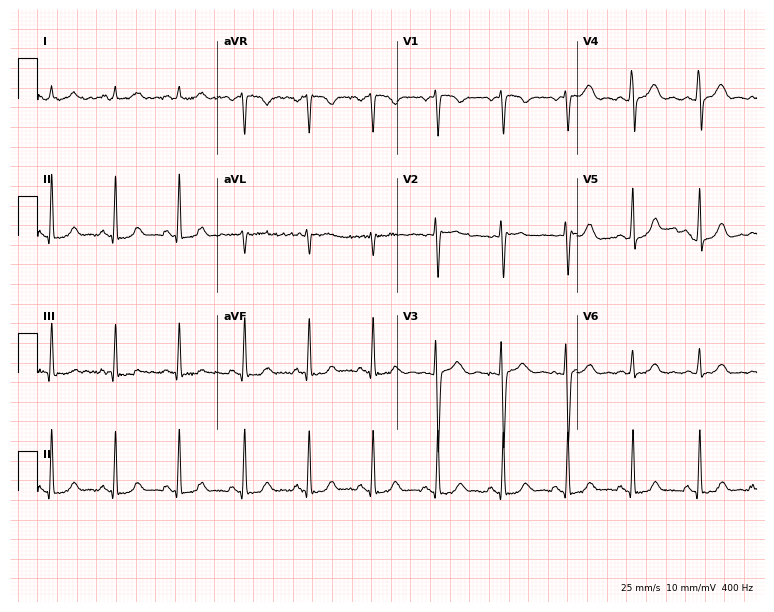
ECG — a 33-year-old female patient. Labelled as a normal ECG.